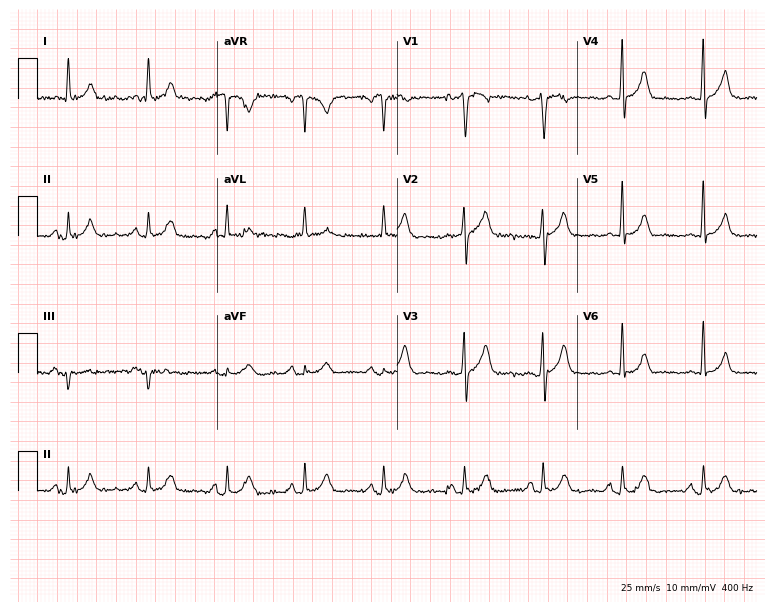
12-lead ECG from a woman, 67 years old. Recorded interpretation: within normal limits.